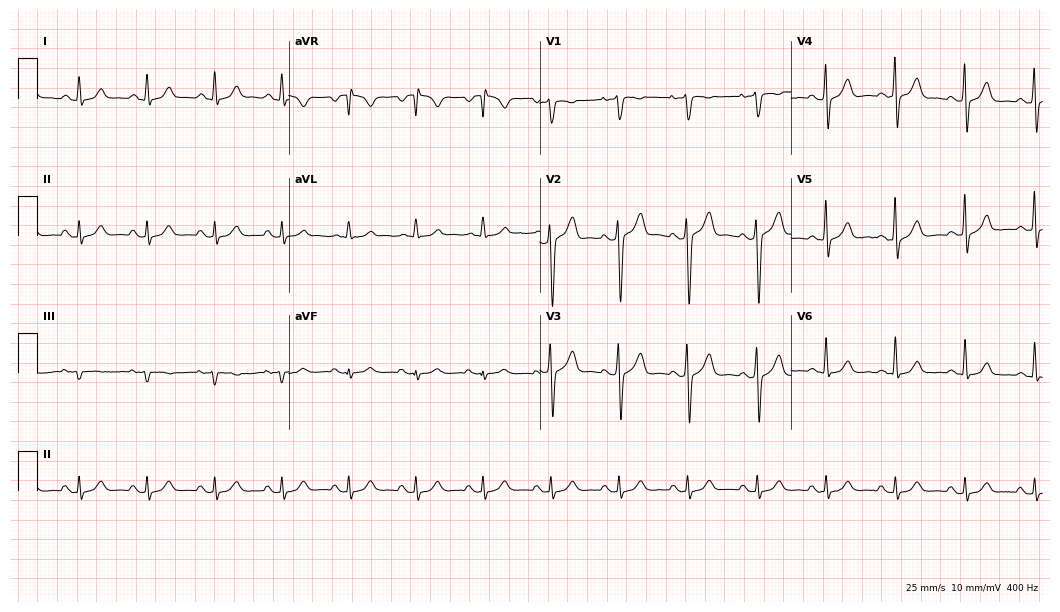
Electrocardiogram (10.2-second recording at 400 Hz), a 28-year-old man. Overall reading on record: normal ECG.